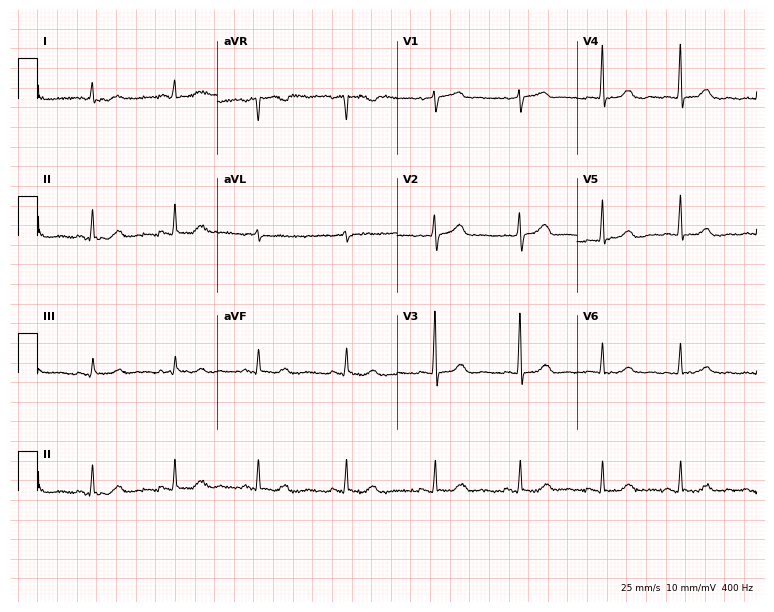
12-lead ECG (7.3-second recording at 400 Hz) from a female, 67 years old. Labelled as a normal ECG.